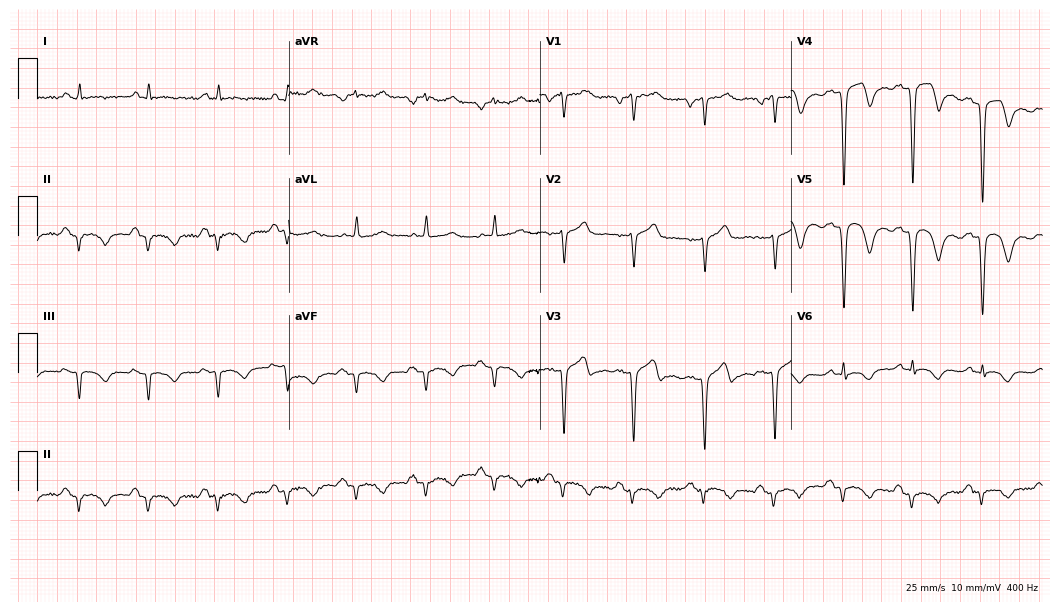
Resting 12-lead electrocardiogram. Patient: a 57-year-old man. None of these six findings is recorded: first-degree AV block, right bundle branch block, left bundle branch block, sinus bradycardia, atrial fibrillation, sinus tachycardia.